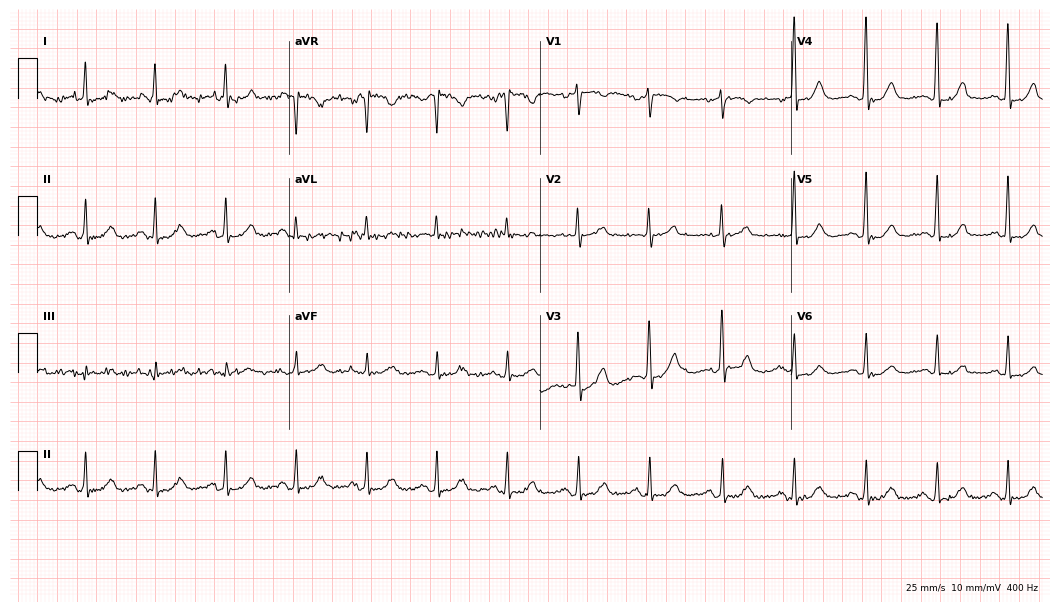
Standard 12-lead ECG recorded from a female patient, 70 years old. None of these six findings is recorded: first-degree AV block, right bundle branch block, left bundle branch block, sinus bradycardia, atrial fibrillation, sinus tachycardia.